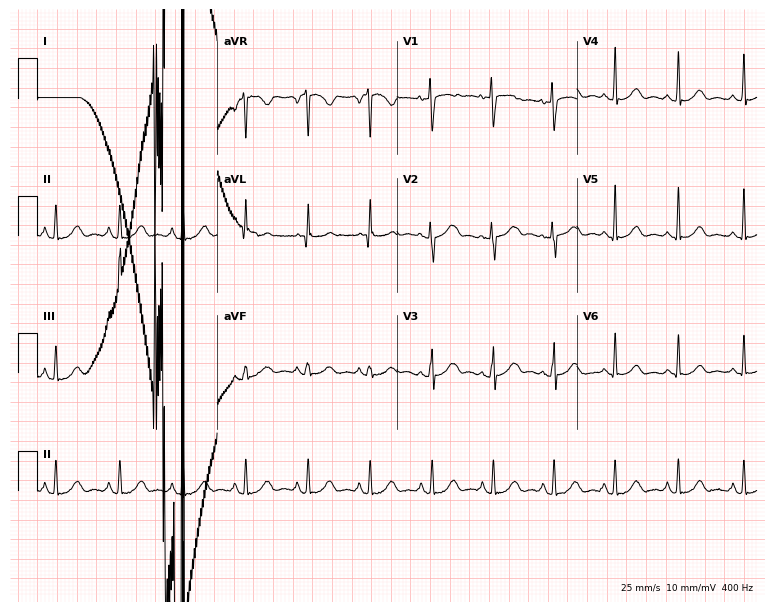
12-lead ECG from a woman, 28 years old. Recorded interpretation: within normal limits.